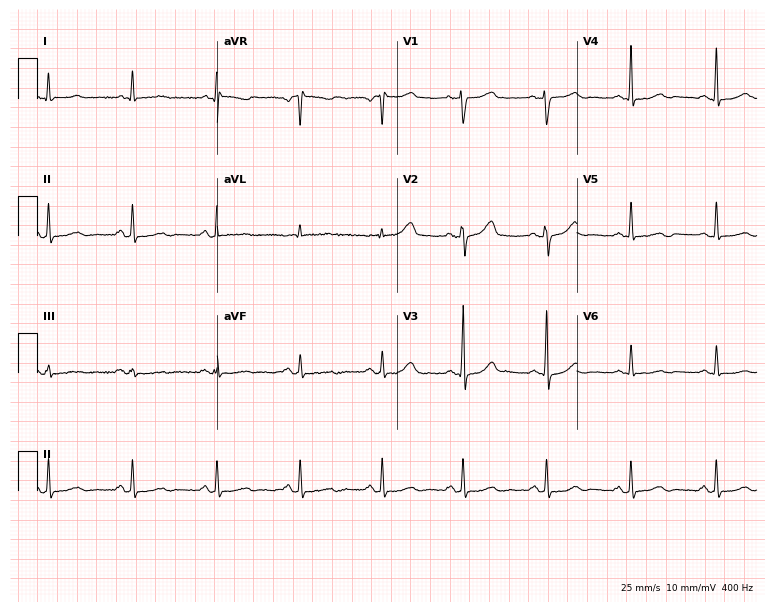
12-lead ECG from a female, 41 years old (7.3-second recording at 400 Hz). Recorded interpretation: within normal limits.